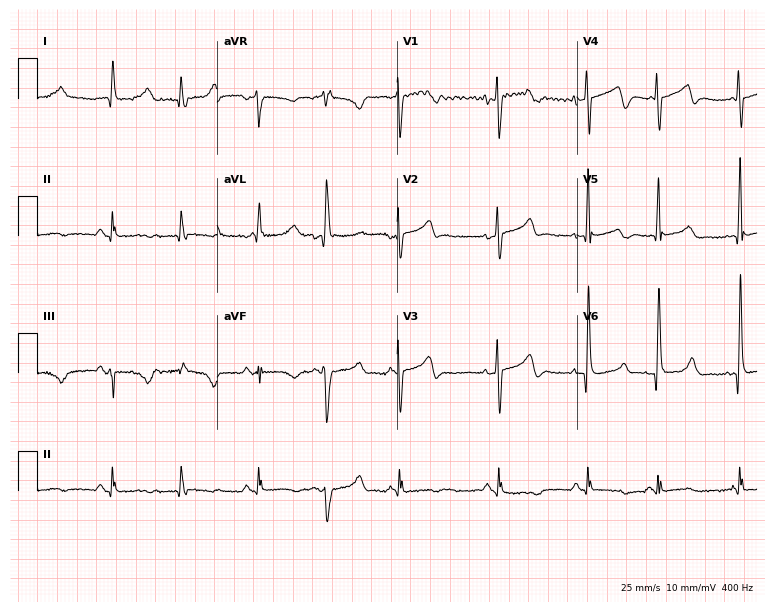
Electrocardiogram (7.3-second recording at 400 Hz), a male, 53 years old. Of the six screened findings (first-degree AV block, right bundle branch block, left bundle branch block, sinus bradycardia, atrial fibrillation, sinus tachycardia), none is recorded.